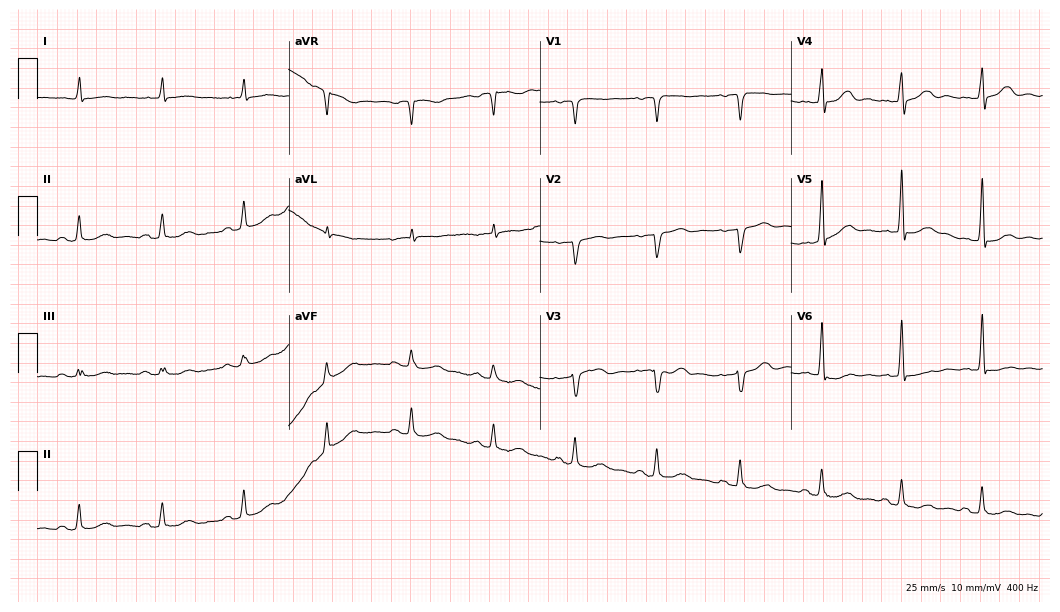
ECG (10.2-second recording at 400 Hz) — a woman, 72 years old. Screened for six findings — first-degree AV block, right bundle branch block, left bundle branch block, sinus bradycardia, atrial fibrillation, sinus tachycardia — none is recorded.